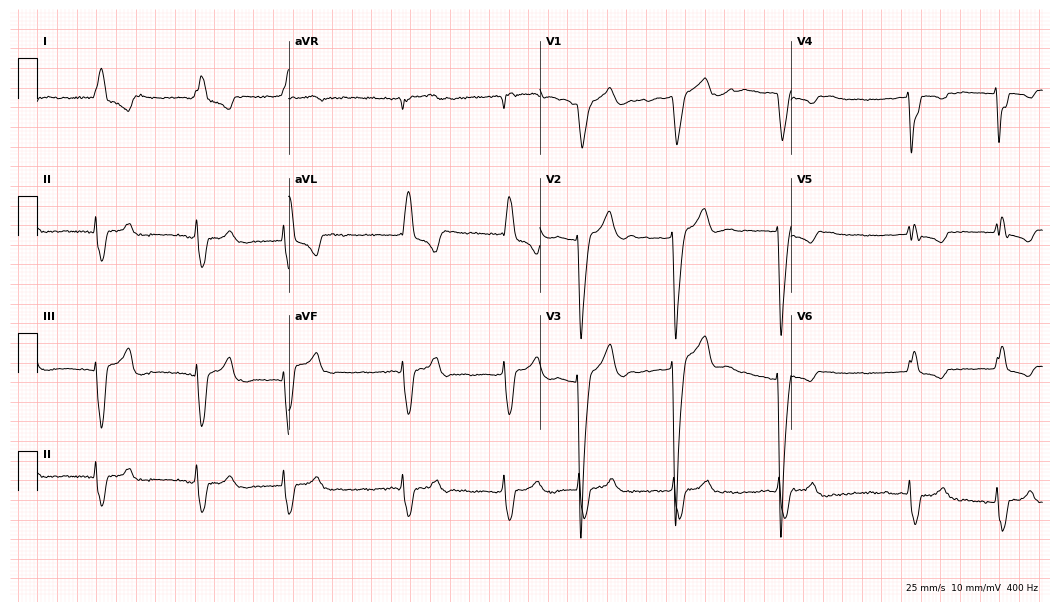
ECG — a 79-year-old woman. Findings include left bundle branch block, atrial fibrillation.